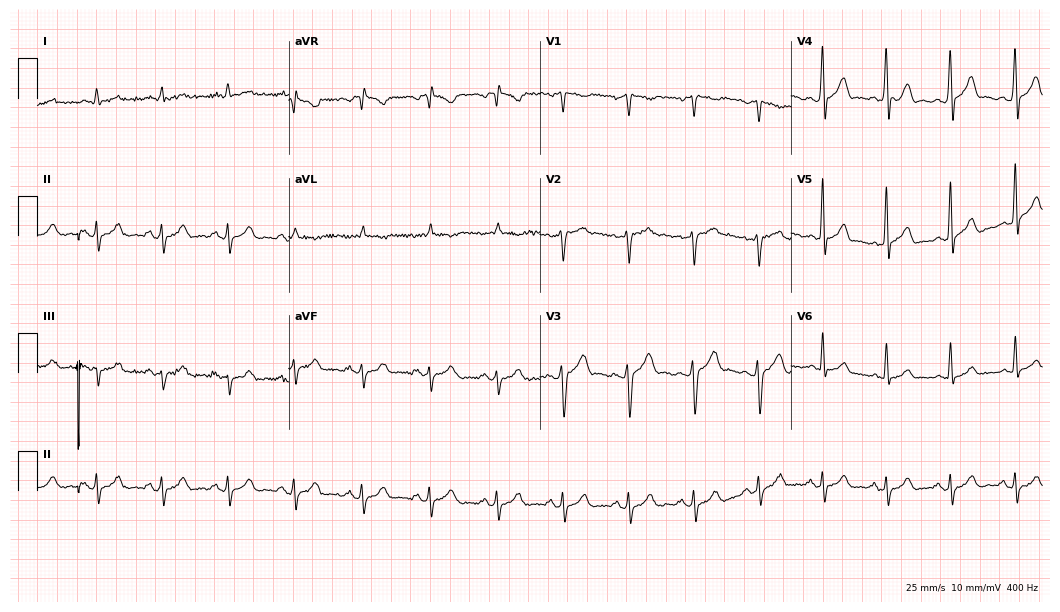
Standard 12-lead ECG recorded from a male, 50 years old (10.2-second recording at 400 Hz). None of these six findings is recorded: first-degree AV block, right bundle branch block, left bundle branch block, sinus bradycardia, atrial fibrillation, sinus tachycardia. Other findings, if any, are not listed.